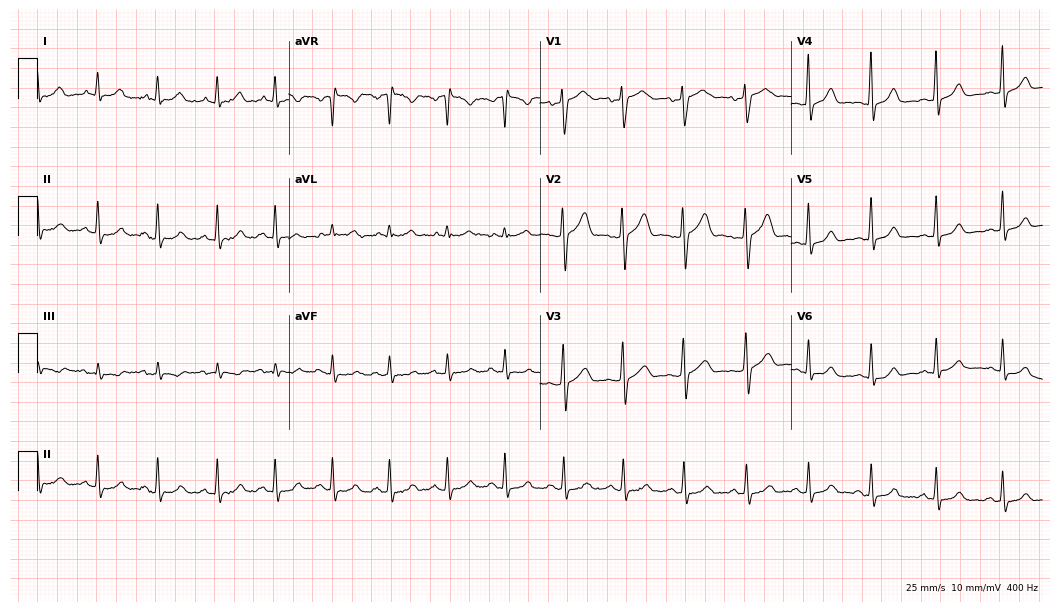
Resting 12-lead electrocardiogram. Patient: a 37-year-old woman. Read as a normal ECG.